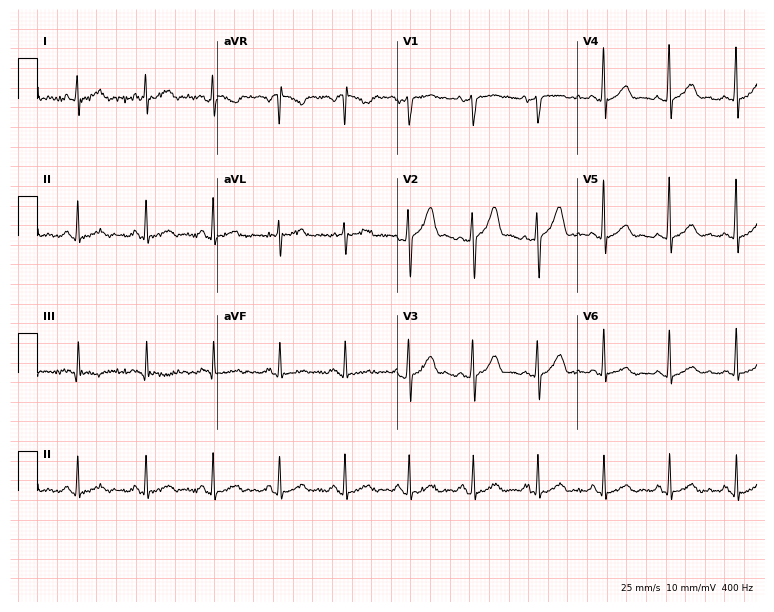
Electrocardiogram, a male, 52 years old. Of the six screened findings (first-degree AV block, right bundle branch block, left bundle branch block, sinus bradycardia, atrial fibrillation, sinus tachycardia), none is recorded. Other findings, if any, are not listed.